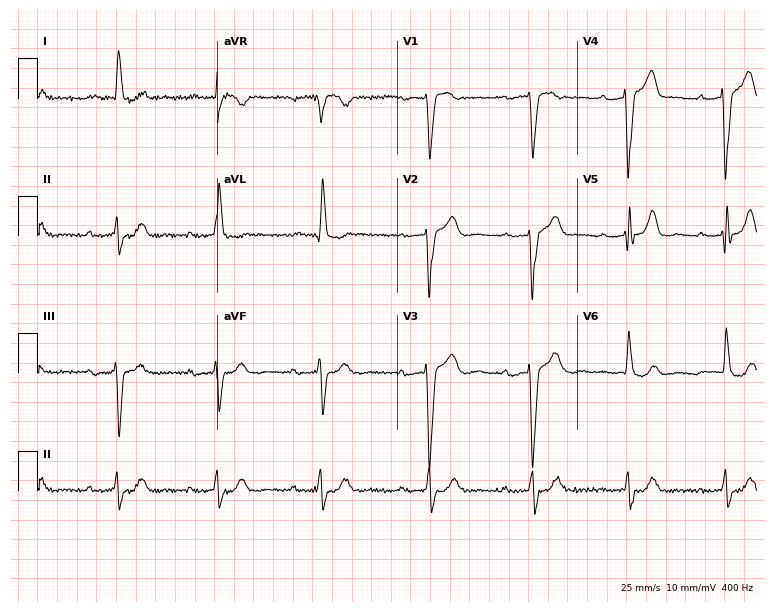
12-lead ECG from a man, 83 years old (7.3-second recording at 400 Hz). Shows first-degree AV block, left bundle branch block.